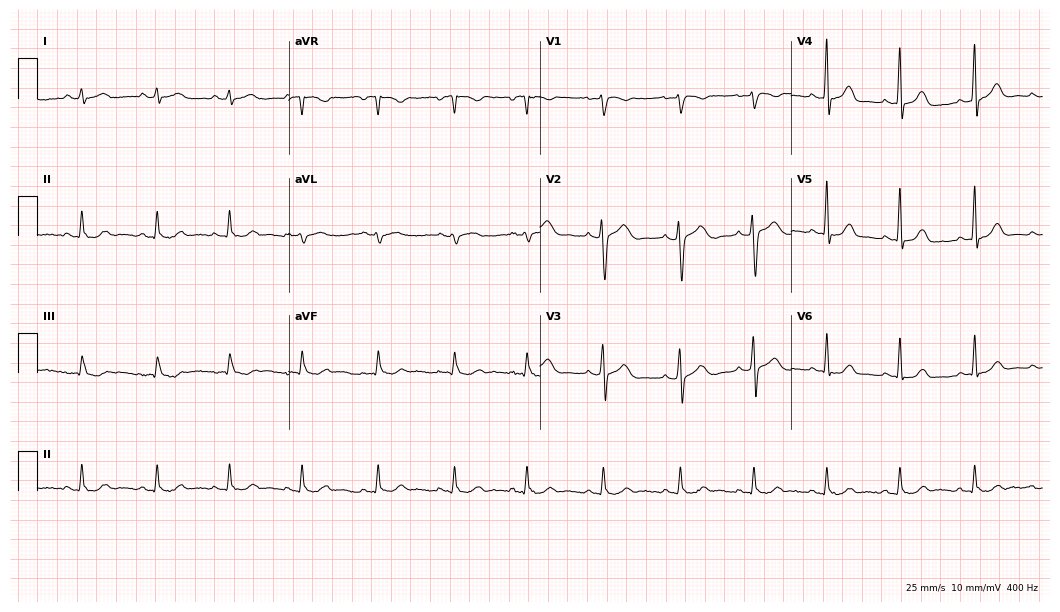
Electrocardiogram (10.2-second recording at 400 Hz), a 79-year-old female. Overall reading on record: normal ECG.